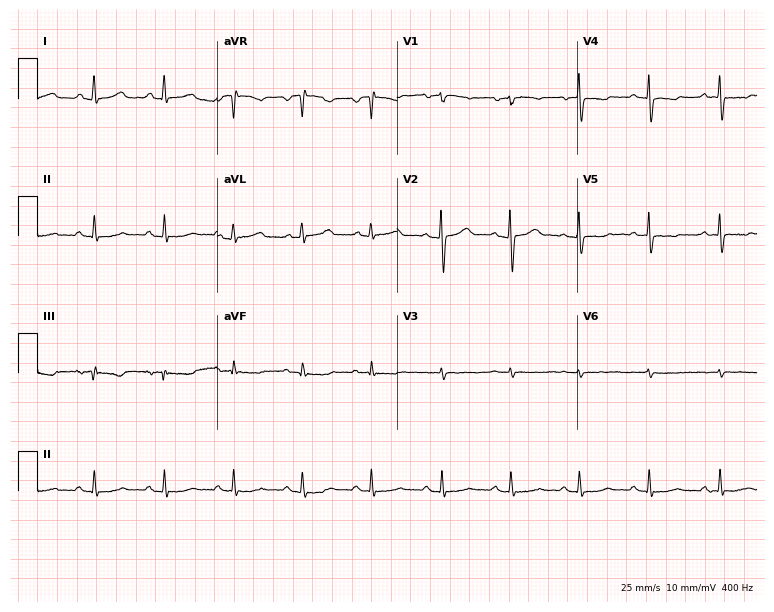
ECG (7.3-second recording at 400 Hz) — a 57-year-old female. Screened for six findings — first-degree AV block, right bundle branch block, left bundle branch block, sinus bradycardia, atrial fibrillation, sinus tachycardia — none is recorded.